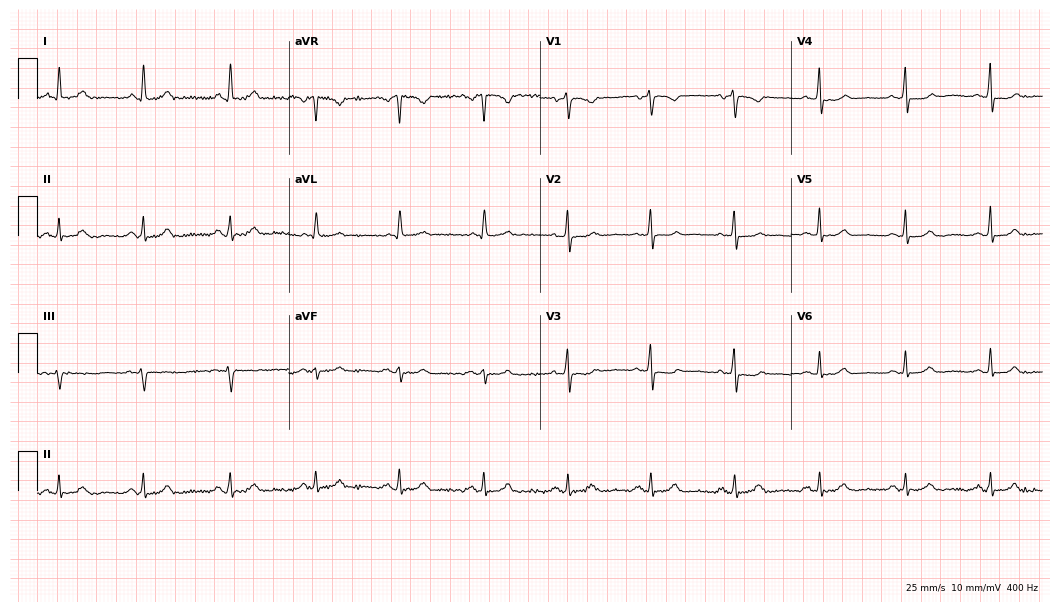
12-lead ECG from a 50-year-old woman. Recorded interpretation: within normal limits.